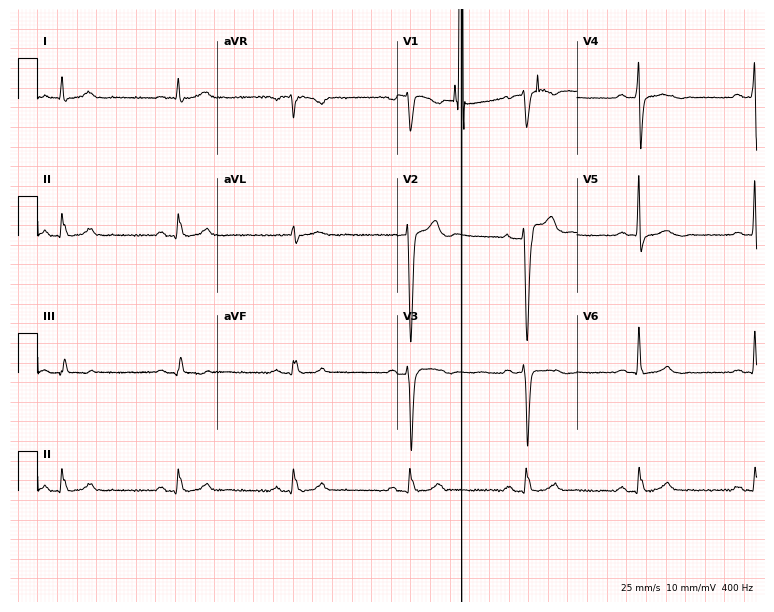
12-lead ECG from a male, 59 years old (7.3-second recording at 400 Hz). No first-degree AV block, right bundle branch block, left bundle branch block, sinus bradycardia, atrial fibrillation or sinus tachycardia recorded for this tracing. Findings outside these six are not listed.